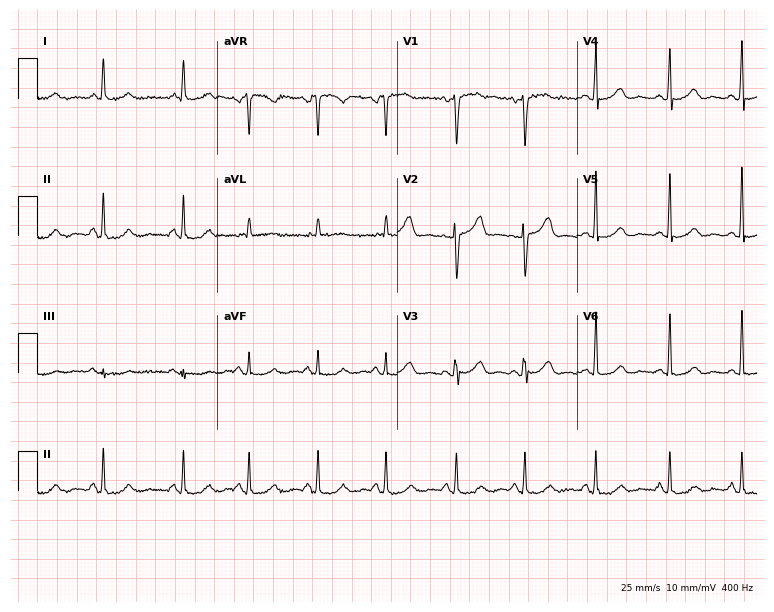
ECG (7.3-second recording at 400 Hz) — a female patient, 60 years old. Screened for six findings — first-degree AV block, right bundle branch block, left bundle branch block, sinus bradycardia, atrial fibrillation, sinus tachycardia — none is recorded. Only these six findings were labelled.